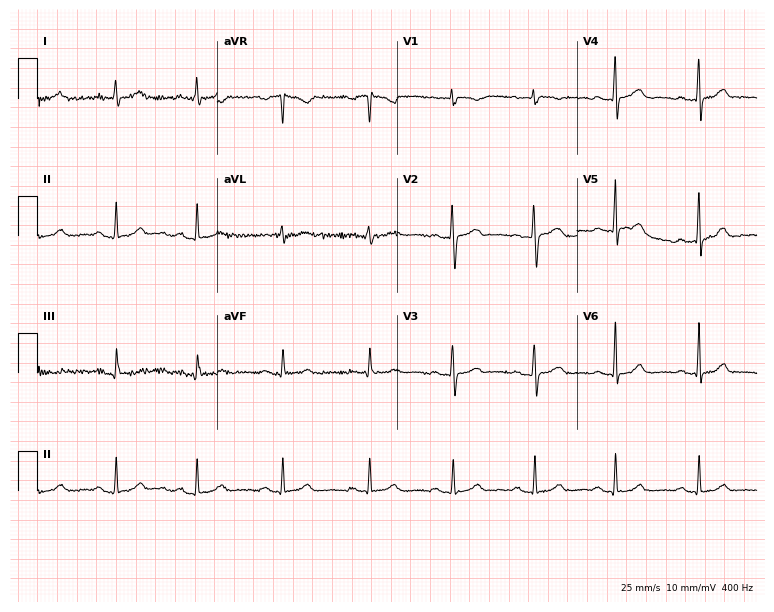
Electrocardiogram (7.3-second recording at 400 Hz), a female, 53 years old. Of the six screened findings (first-degree AV block, right bundle branch block (RBBB), left bundle branch block (LBBB), sinus bradycardia, atrial fibrillation (AF), sinus tachycardia), none is recorded. Findings outside these six are not listed.